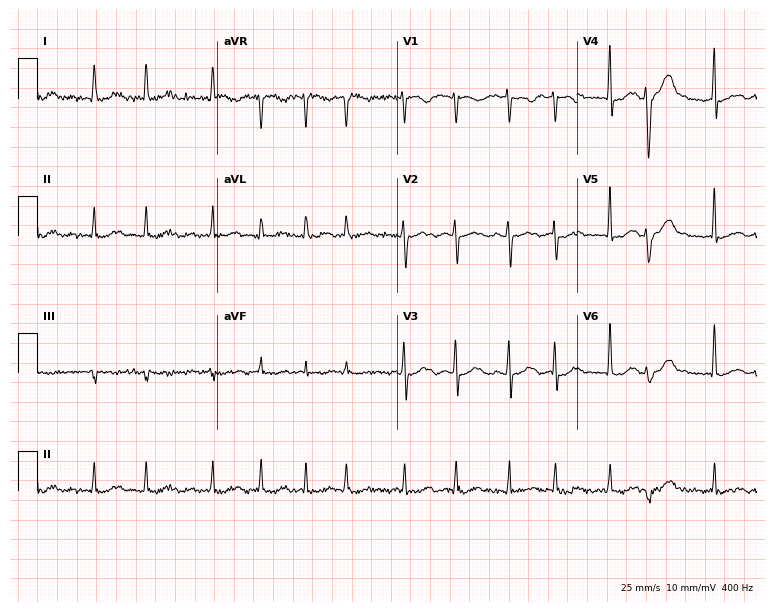
Resting 12-lead electrocardiogram. Patient: an 82-year-old female. The tracing shows atrial fibrillation, sinus tachycardia (a sinus rate of 100 beats per minute or more).